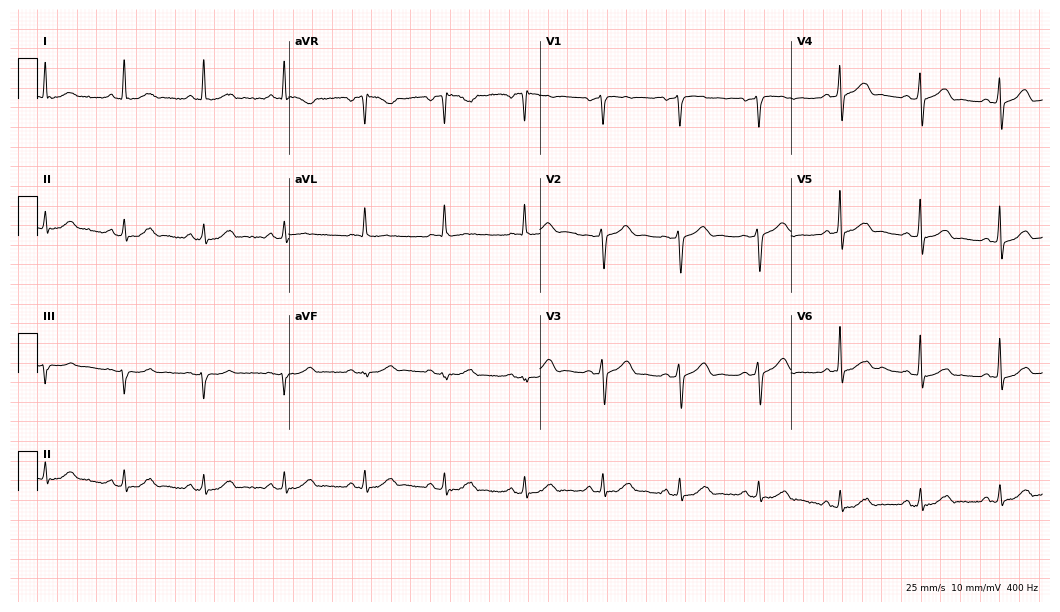
12-lead ECG from a man, 59 years old. Recorded interpretation: within normal limits.